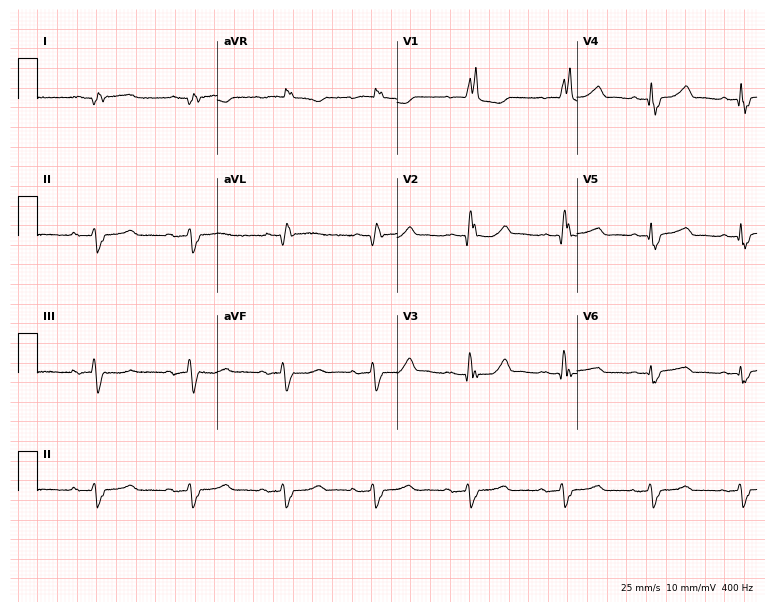
ECG — a woman aged 90 or older. Findings include first-degree AV block, right bundle branch block.